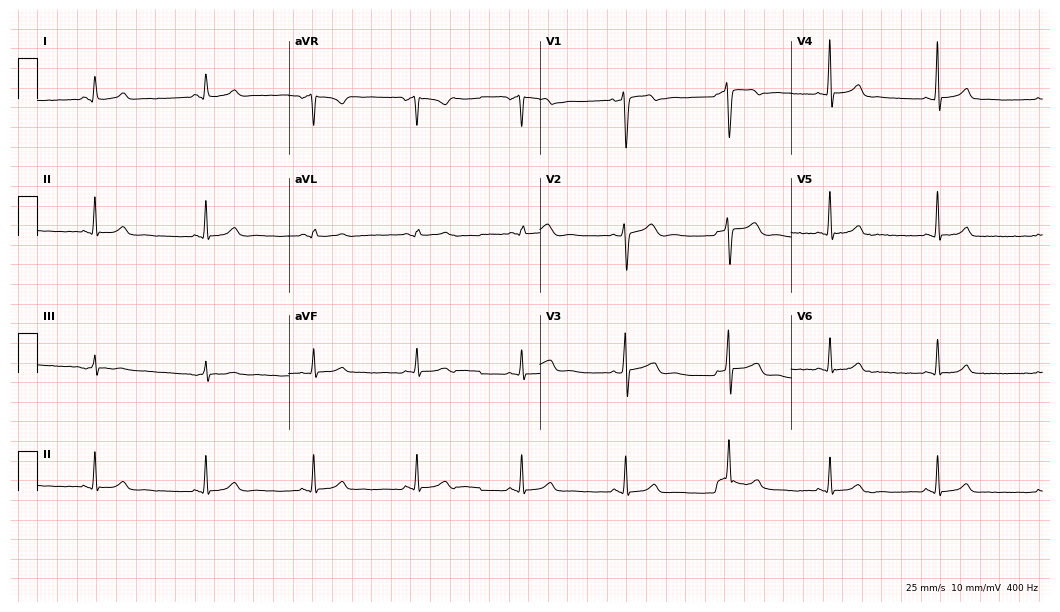
Standard 12-lead ECG recorded from a 31-year-old female patient (10.2-second recording at 400 Hz). None of these six findings is recorded: first-degree AV block, right bundle branch block, left bundle branch block, sinus bradycardia, atrial fibrillation, sinus tachycardia.